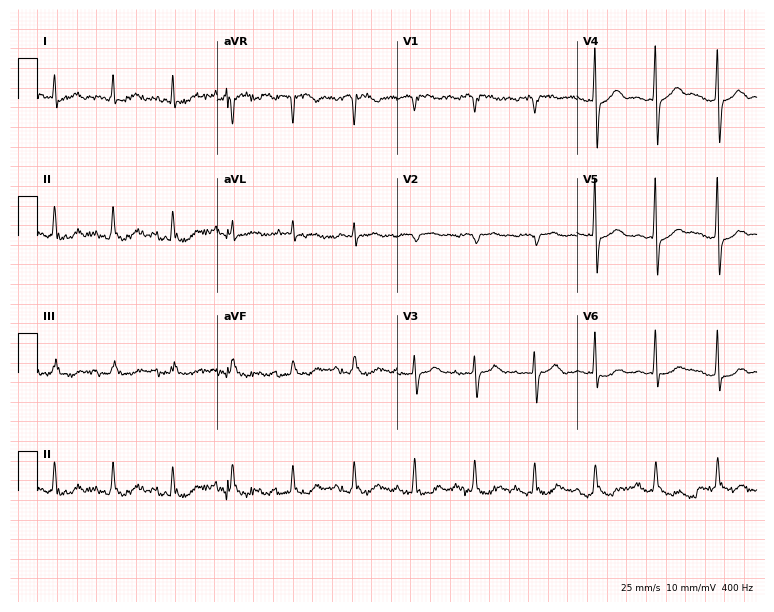
ECG (7.3-second recording at 400 Hz) — a woman, 80 years old. Screened for six findings — first-degree AV block, right bundle branch block, left bundle branch block, sinus bradycardia, atrial fibrillation, sinus tachycardia — none is recorded. Findings outside these six are not listed.